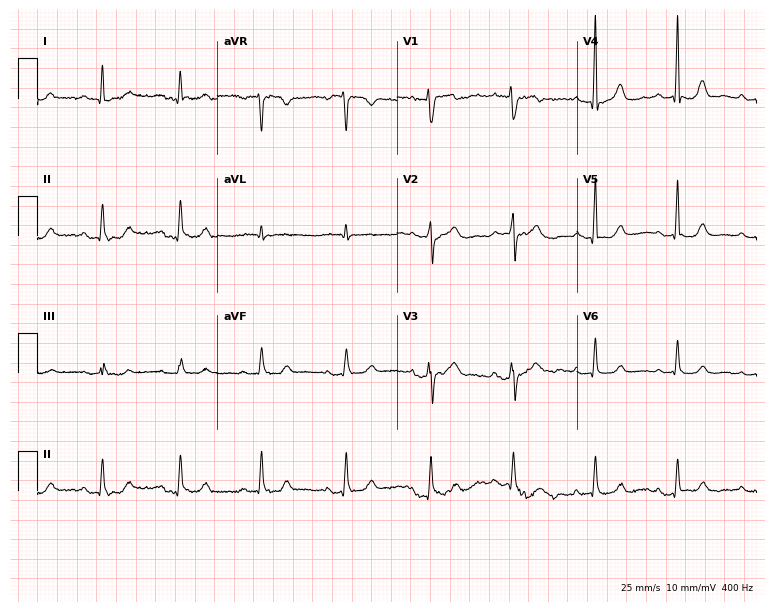
12-lead ECG (7.3-second recording at 400 Hz) from a 78-year-old male. Labelled as a normal ECG.